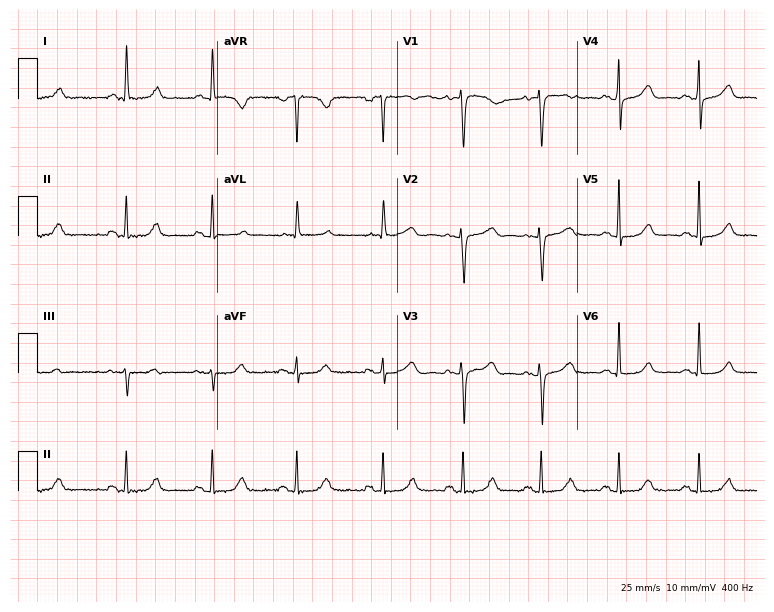
Standard 12-lead ECG recorded from a 67-year-old female. Read as a normal ECG.